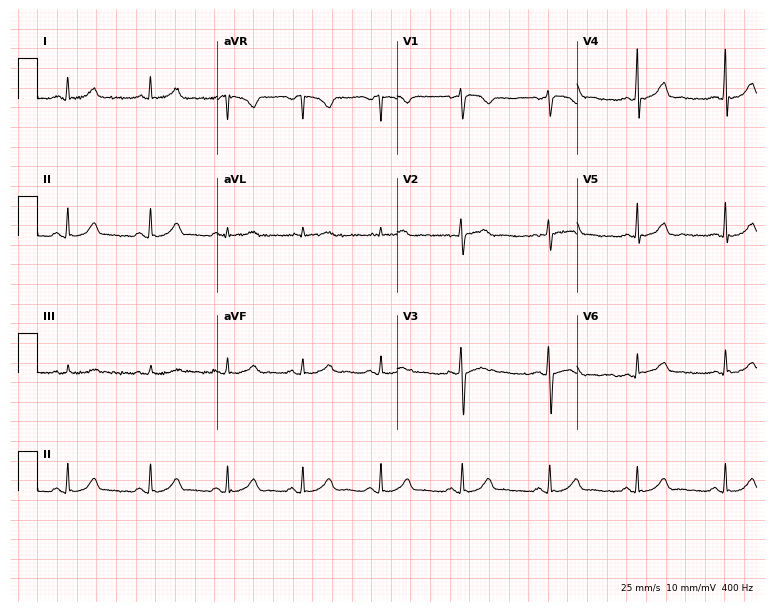
12-lead ECG from a woman, 28 years old. Recorded interpretation: within normal limits.